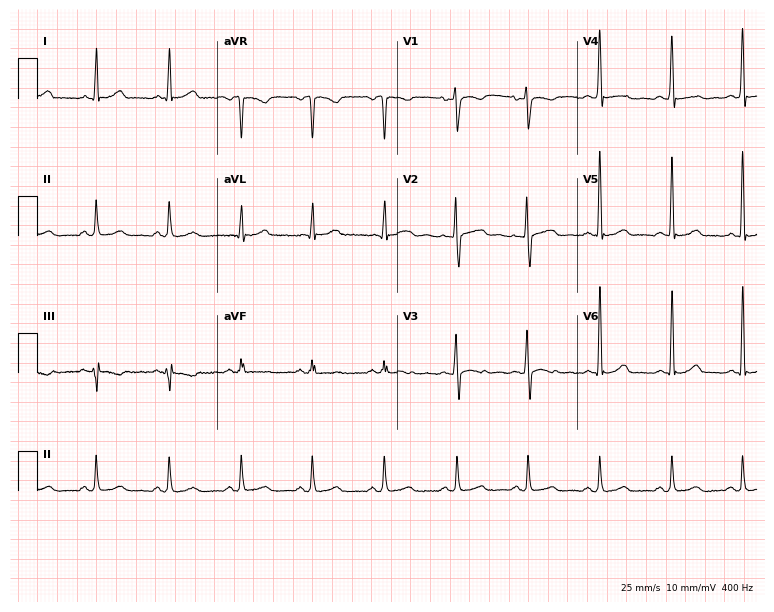
Resting 12-lead electrocardiogram. Patient: a female, 44 years old. Read as a normal ECG.